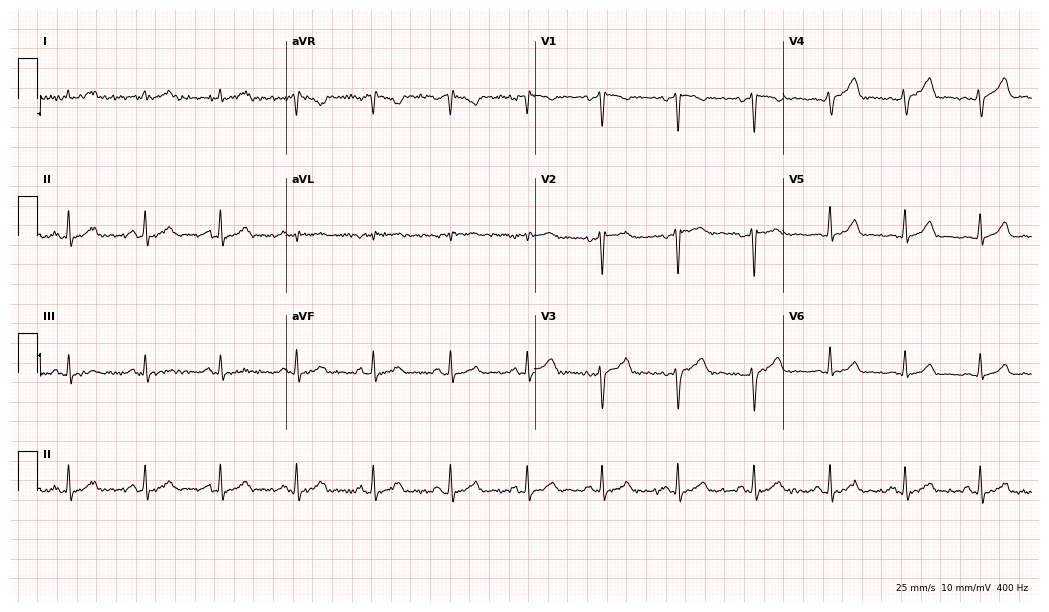
12-lead ECG (10.1-second recording at 400 Hz) from a 38-year-old man. Screened for six findings — first-degree AV block, right bundle branch block, left bundle branch block, sinus bradycardia, atrial fibrillation, sinus tachycardia — none is recorded. Only these six findings were labelled.